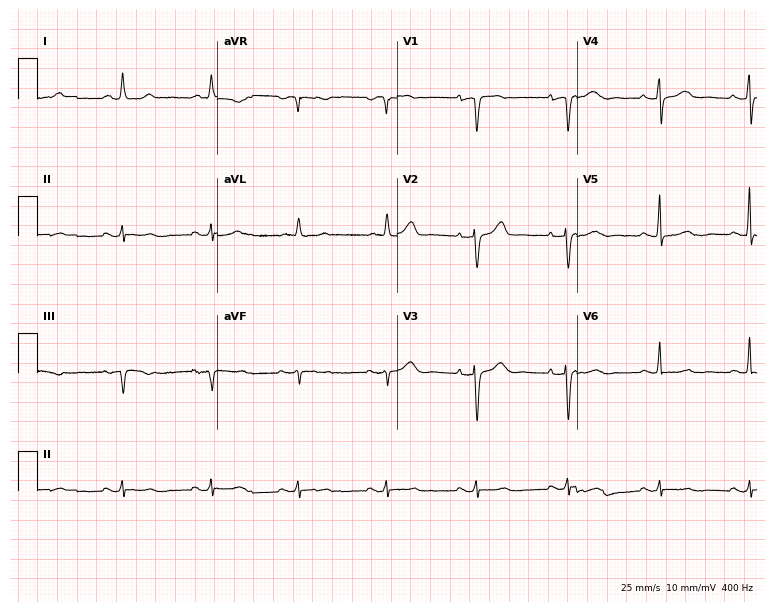
Standard 12-lead ECG recorded from a female patient, 77 years old (7.3-second recording at 400 Hz). None of these six findings is recorded: first-degree AV block, right bundle branch block, left bundle branch block, sinus bradycardia, atrial fibrillation, sinus tachycardia. Findings outside these six are not listed.